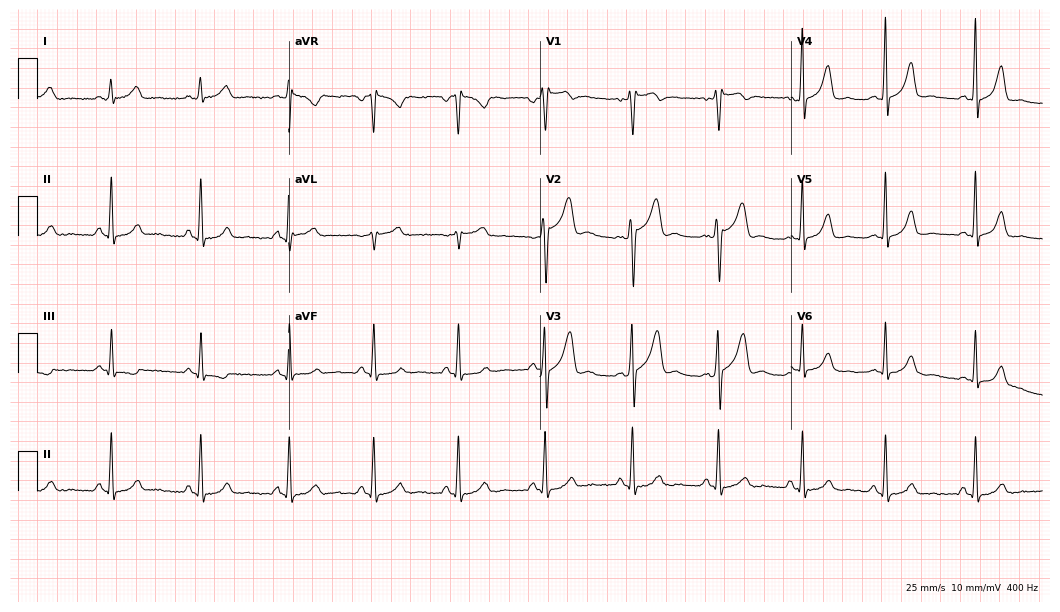
Electrocardiogram (10.2-second recording at 400 Hz), a 40-year-old male patient. Of the six screened findings (first-degree AV block, right bundle branch block (RBBB), left bundle branch block (LBBB), sinus bradycardia, atrial fibrillation (AF), sinus tachycardia), none is recorded.